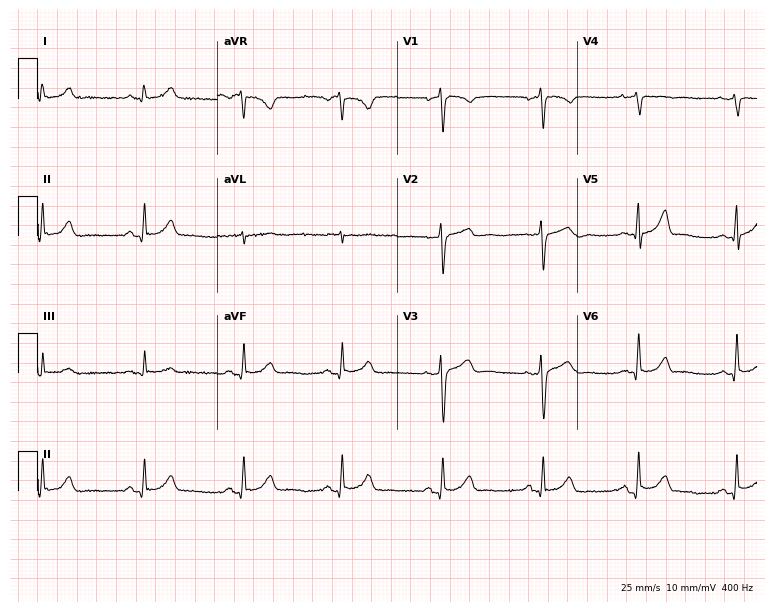
Resting 12-lead electrocardiogram (7.3-second recording at 400 Hz). Patient: a 63-year-old female. None of these six findings is recorded: first-degree AV block, right bundle branch block, left bundle branch block, sinus bradycardia, atrial fibrillation, sinus tachycardia.